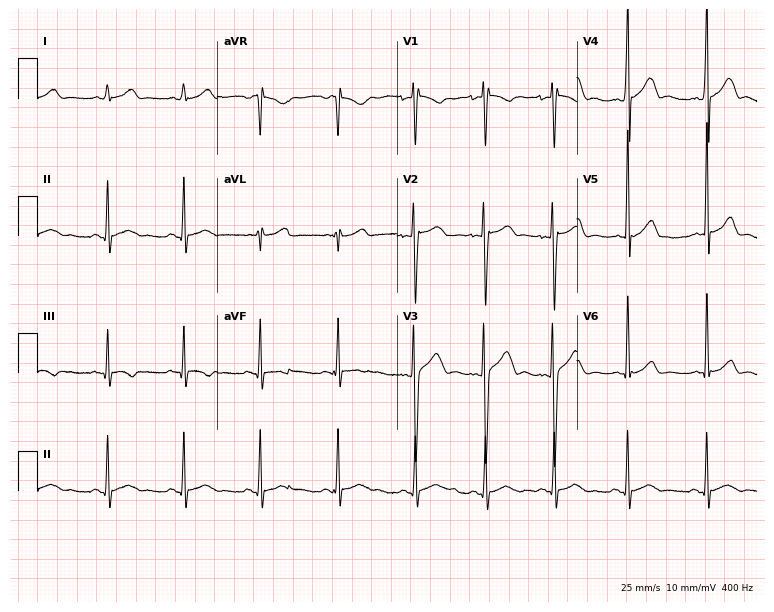
12-lead ECG from a 17-year-old male (7.3-second recording at 400 Hz). Recorded interpretation: within normal limits.